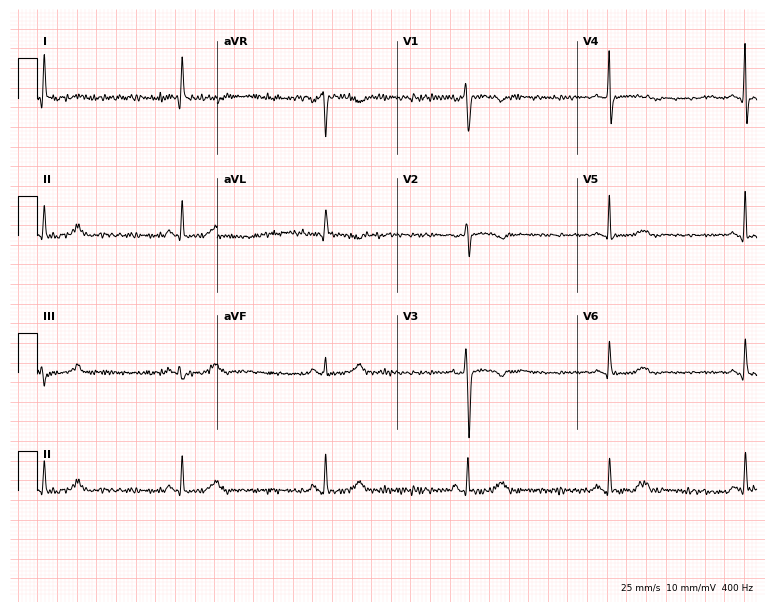
12-lead ECG from a 54-year-old female patient (7.3-second recording at 400 Hz). Shows sinus bradycardia (a sinus rate of 50 beats per minute or less).